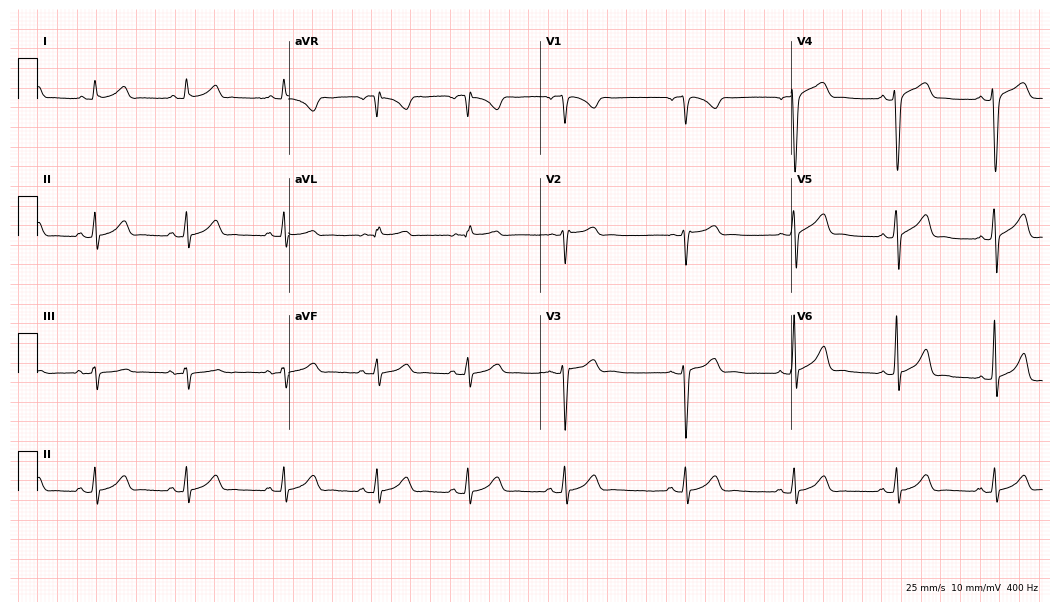
ECG (10.2-second recording at 400 Hz) — a 23-year-old male patient. Labelled as a normal ECG.